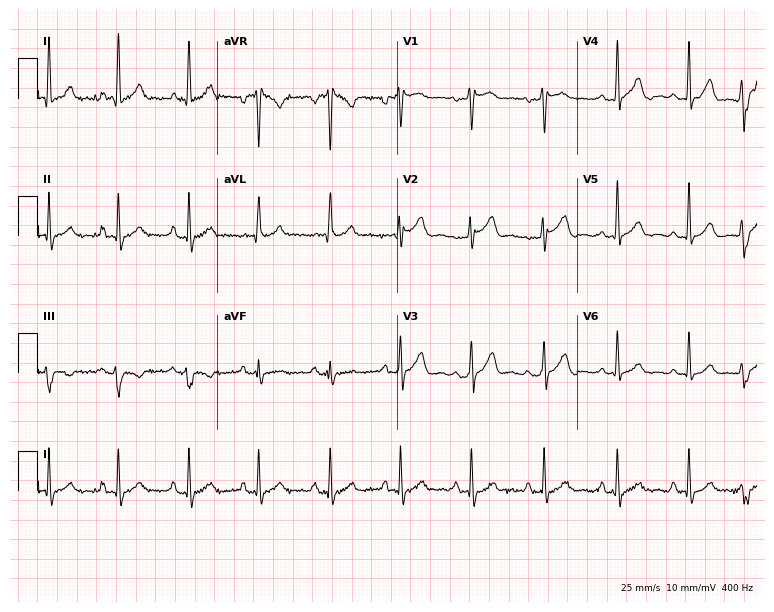
Standard 12-lead ECG recorded from a female, 42 years old (7.3-second recording at 400 Hz). None of these six findings is recorded: first-degree AV block, right bundle branch block, left bundle branch block, sinus bradycardia, atrial fibrillation, sinus tachycardia. Other findings, if any, are not listed.